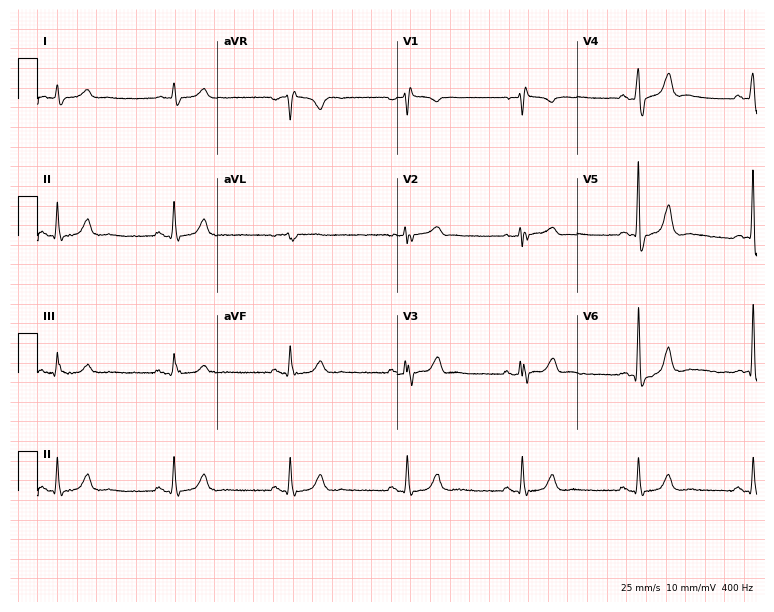
Electrocardiogram (7.3-second recording at 400 Hz), a 76-year-old man. Interpretation includes right bundle branch block.